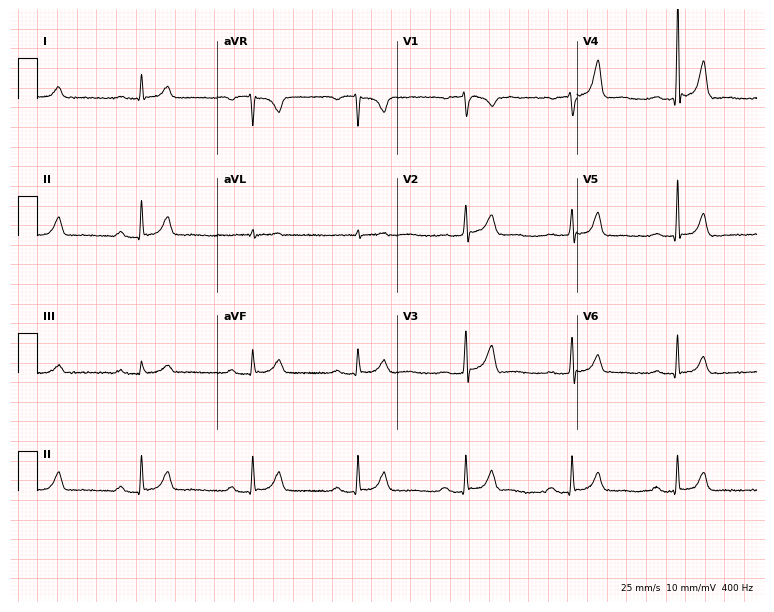
12-lead ECG (7.3-second recording at 400 Hz) from a 56-year-old male. Findings include first-degree AV block.